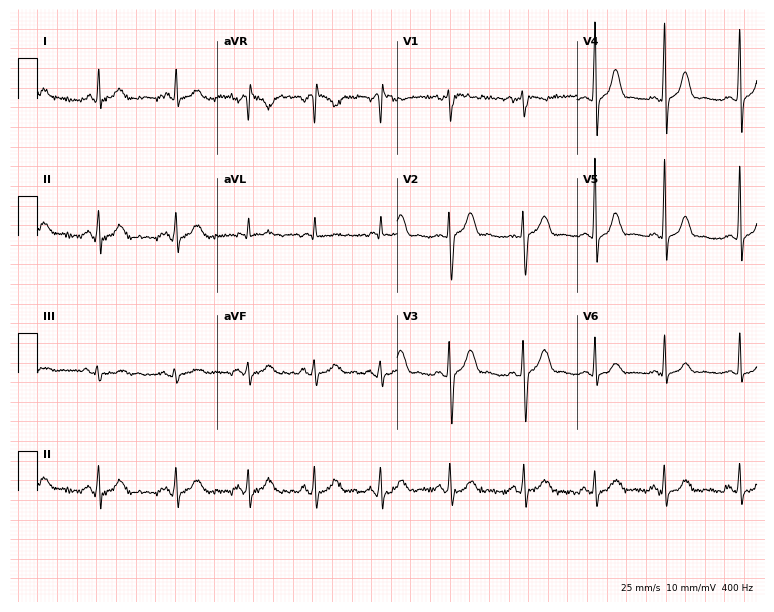
Resting 12-lead electrocardiogram (7.3-second recording at 400 Hz). Patient: a 20-year-old female. Read as a normal ECG.